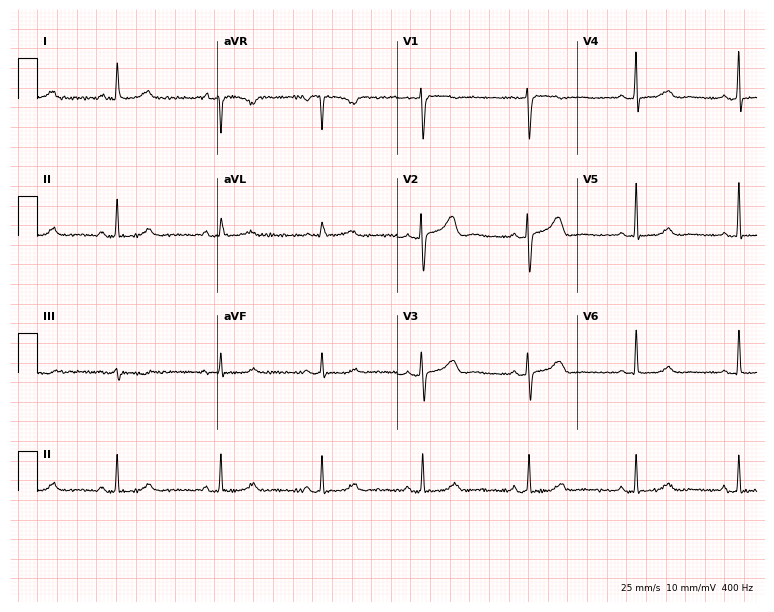
ECG (7.3-second recording at 400 Hz) — a female, 48 years old. Labelled as a normal ECG.